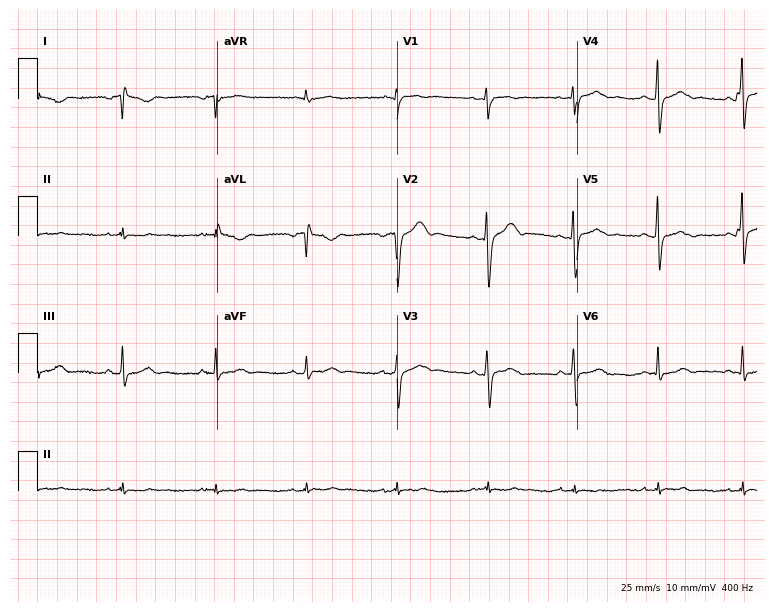
Resting 12-lead electrocardiogram. Patient: a 29-year-old male. None of these six findings is recorded: first-degree AV block, right bundle branch block (RBBB), left bundle branch block (LBBB), sinus bradycardia, atrial fibrillation (AF), sinus tachycardia. Findings outside these six are not listed.